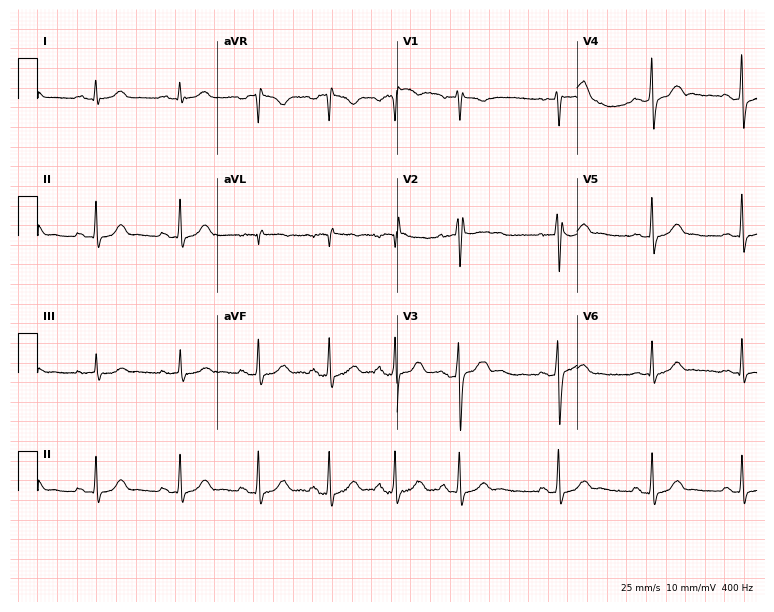
Resting 12-lead electrocardiogram. Patient: a male, 34 years old. Read as a normal ECG.